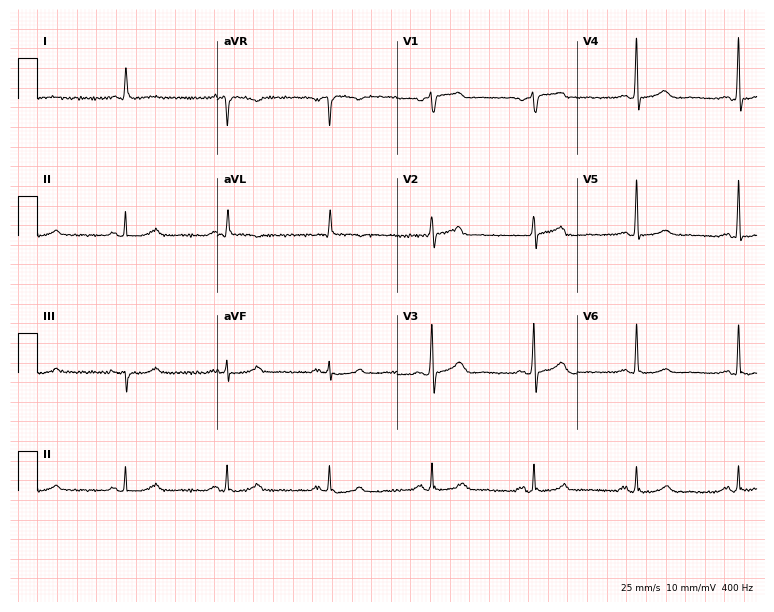
Resting 12-lead electrocardiogram. Patient: a 67-year-old man. Read as a normal ECG.